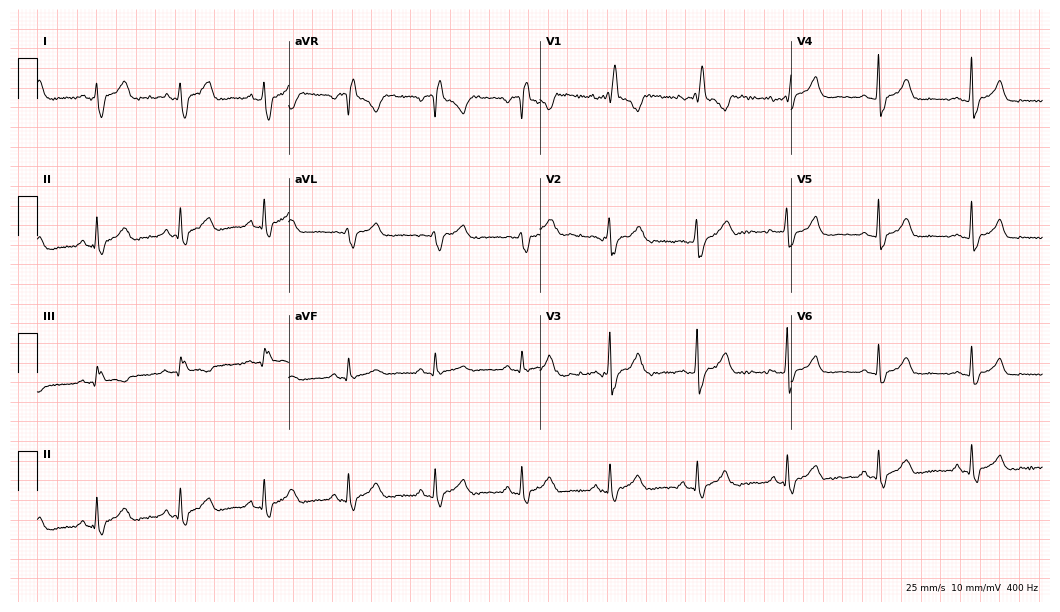
12-lead ECG from a female, 32 years old. Findings include right bundle branch block.